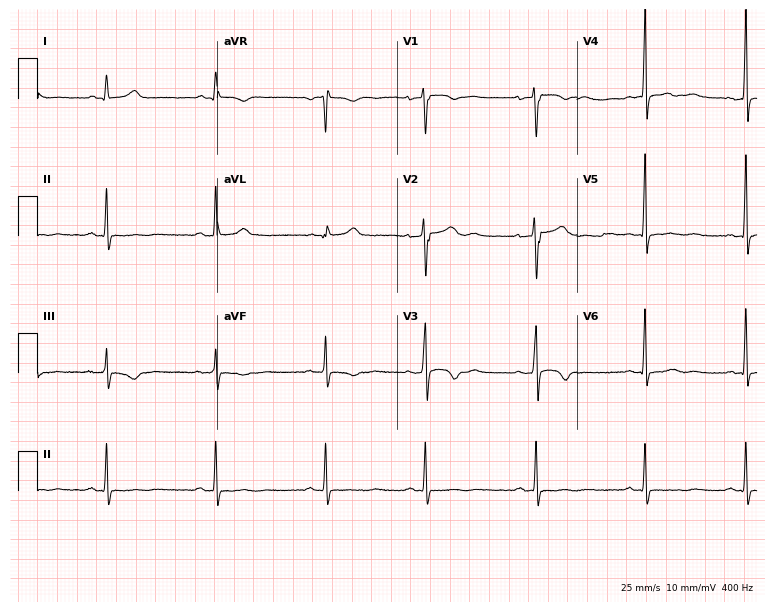
12-lead ECG from a woman, 22 years old. No first-degree AV block, right bundle branch block, left bundle branch block, sinus bradycardia, atrial fibrillation or sinus tachycardia recorded for this tracing.